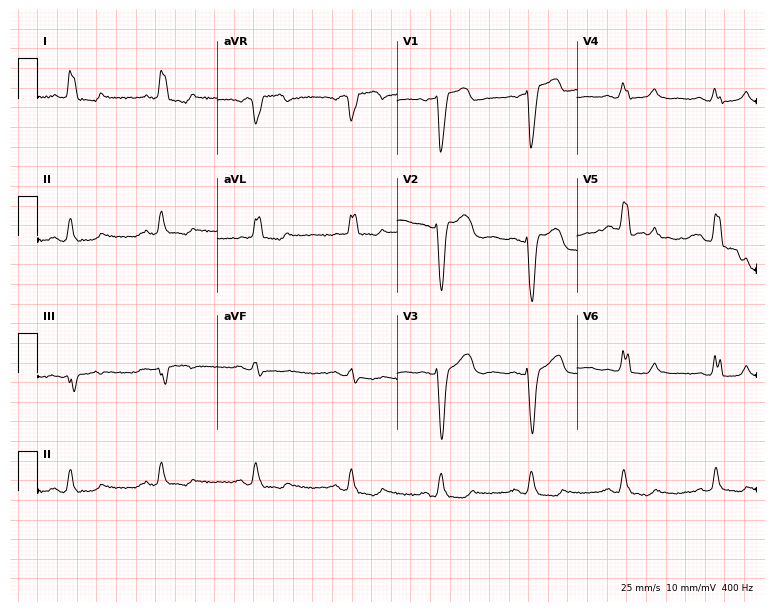
12-lead ECG from a 79-year-old female patient. Shows left bundle branch block.